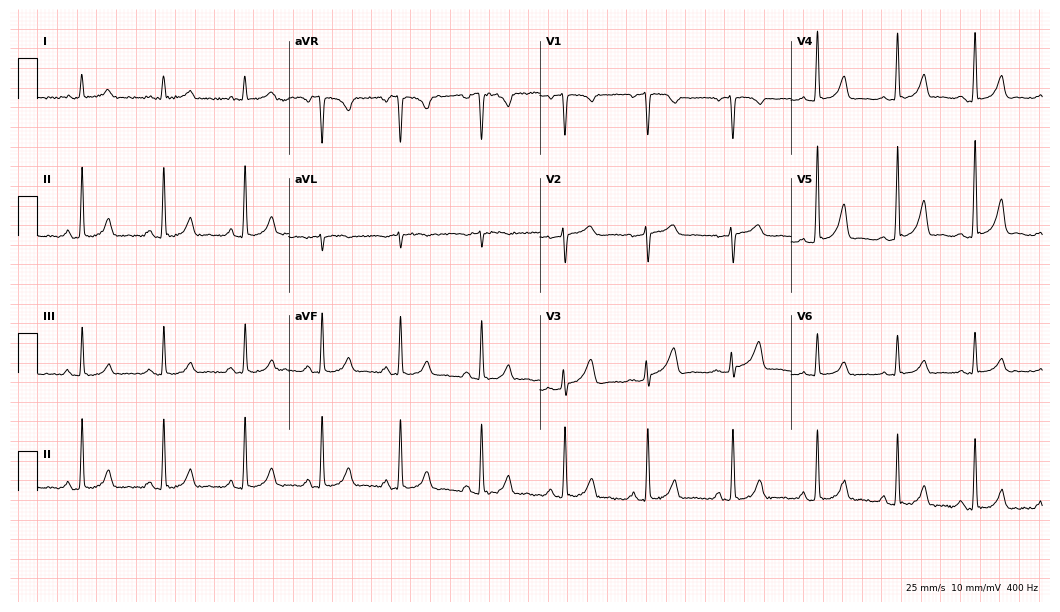
ECG (10.2-second recording at 400 Hz) — a female, 34 years old. Screened for six findings — first-degree AV block, right bundle branch block, left bundle branch block, sinus bradycardia, atrial fibrillation, sinus tachycardia — none is recorded. Findings outside these six are not listed.